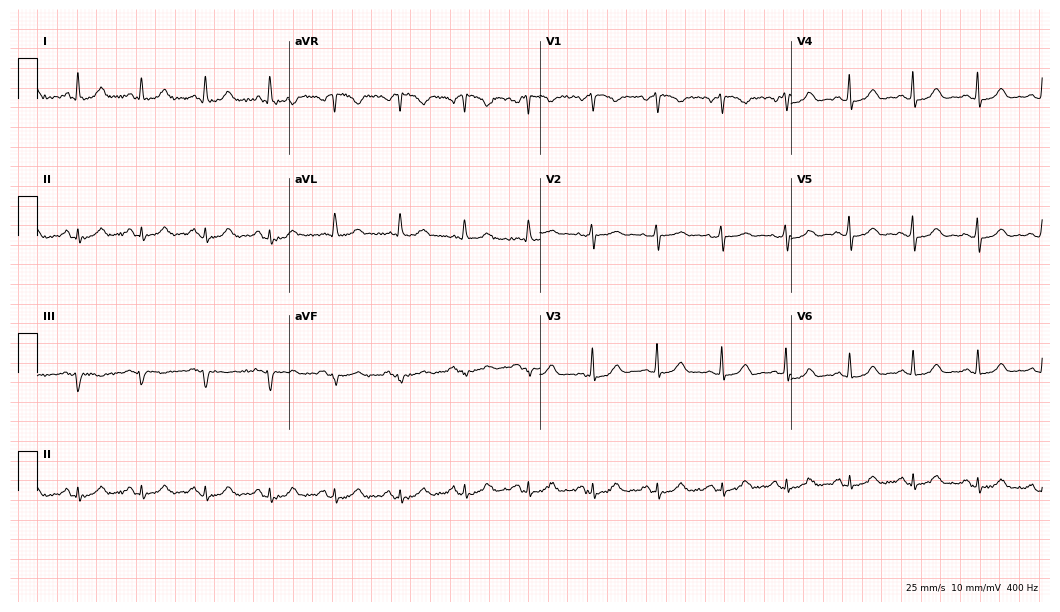
12-lead ECG from a 75-year-old female patient. Screened for six findings — first-degree AV block, right bundle branch block (RBBB), left bundle branch block (LBBB), sinus bradycardia, atrial fibrillation (AF), sinus tachycardia — none is recorded.